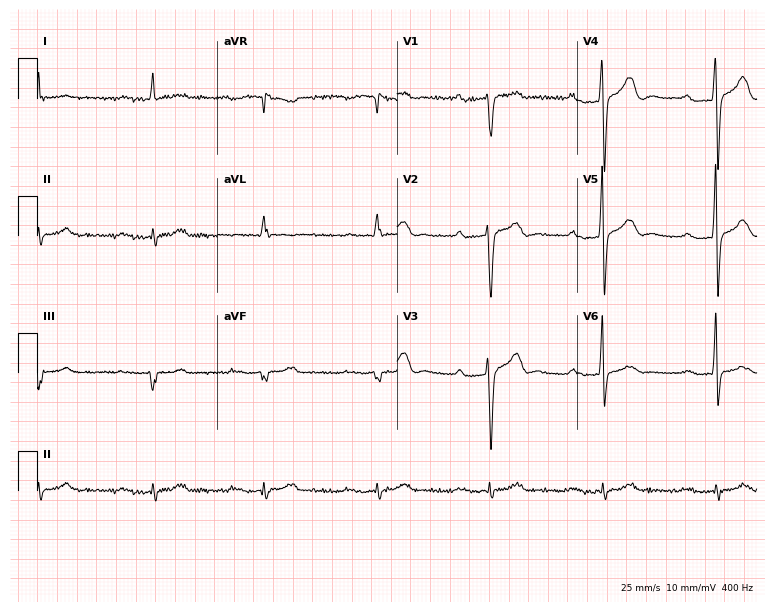
Electrocardiogram (7.3-second recording at 400 Hz), a man, 65 years old. Interpretation includes first-degree AV block.